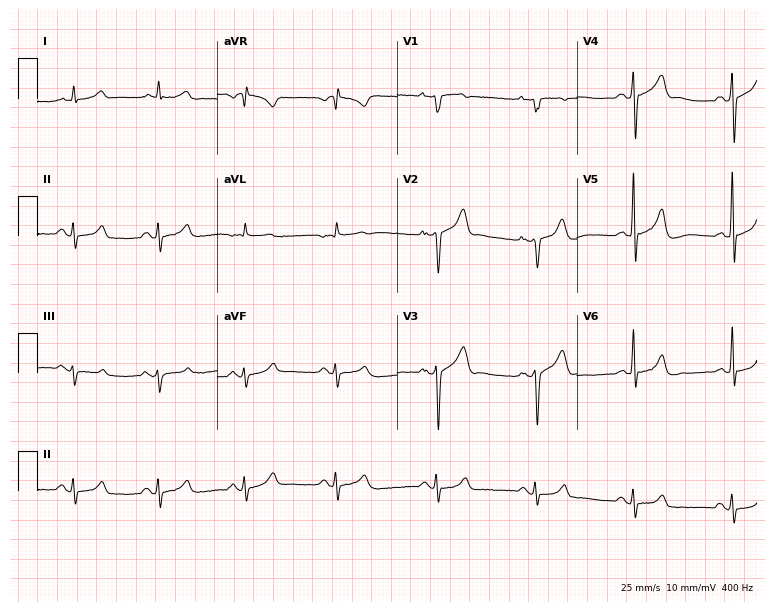
12-lead ECG from a female, 68 years old. No first-degree AV block, right bundle branch block, left bundle branch block, sinus bradycardia, atrial fibrillation or sinus tachycardia recorded for this tracing.